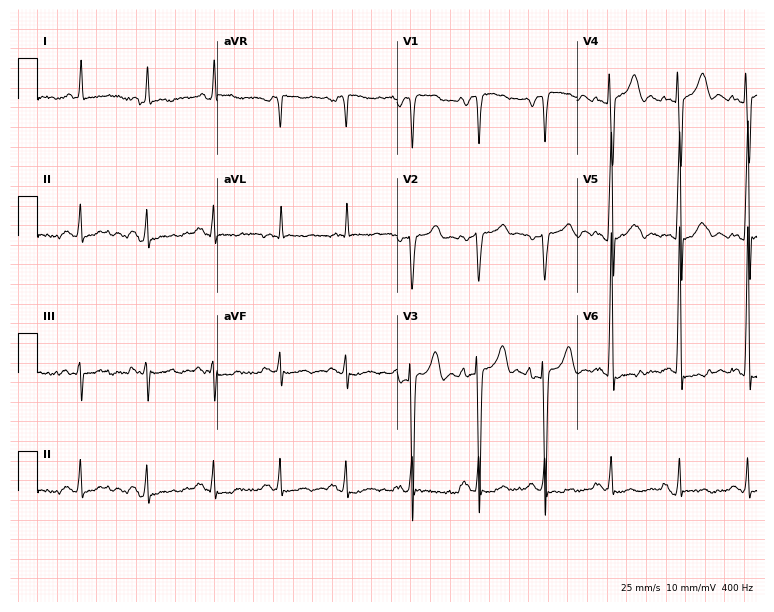
Standard 12-lead ECG recorded from a 51-year-old male (7.3-second recording at 400 Hz). None of these six findings is recorded: first-degree AV block, right bundle branch block (RBBB), left bundle branch block (LBBB), sinus bradycardia, atrial fibrillation (AF), sinus tachycardia.